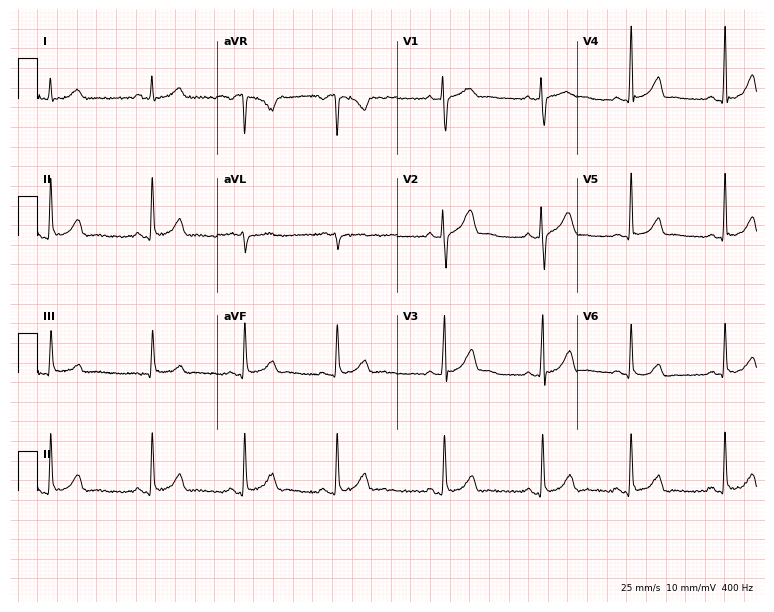
Standard 12-lead ECG recorded from a 26-year-old woman. None of these six findings is recorded: first-degree AV block, right bundle branch block, left bundle branch block, sinus bradycardia, atrial fibrillation, sinus tachycardia. Other findings, if any, are not listed.